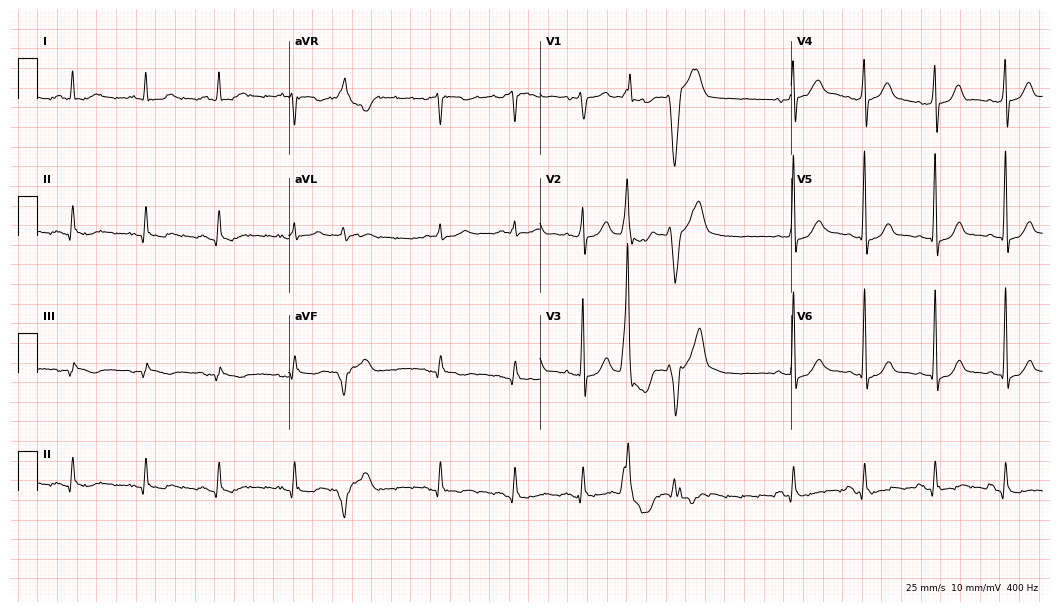
ECG — a male, 84 years old. Screened for six findings — first-degree AV block, right bundle branch block (RBBB), left bundle branch block (LBBB), sinus bradycardia, atrial fibrillation (AF), sinus tachycardia — none is recorded. Only these six findings were labelled.